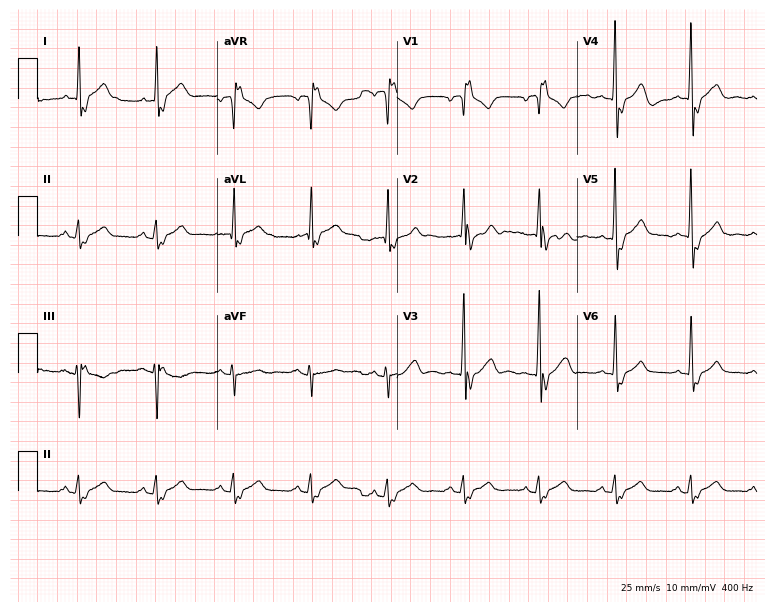
12-lead ECG (7.3-second recording at 400 Hz) from a 53-year-old male patient. Findings include right bundle branch block.